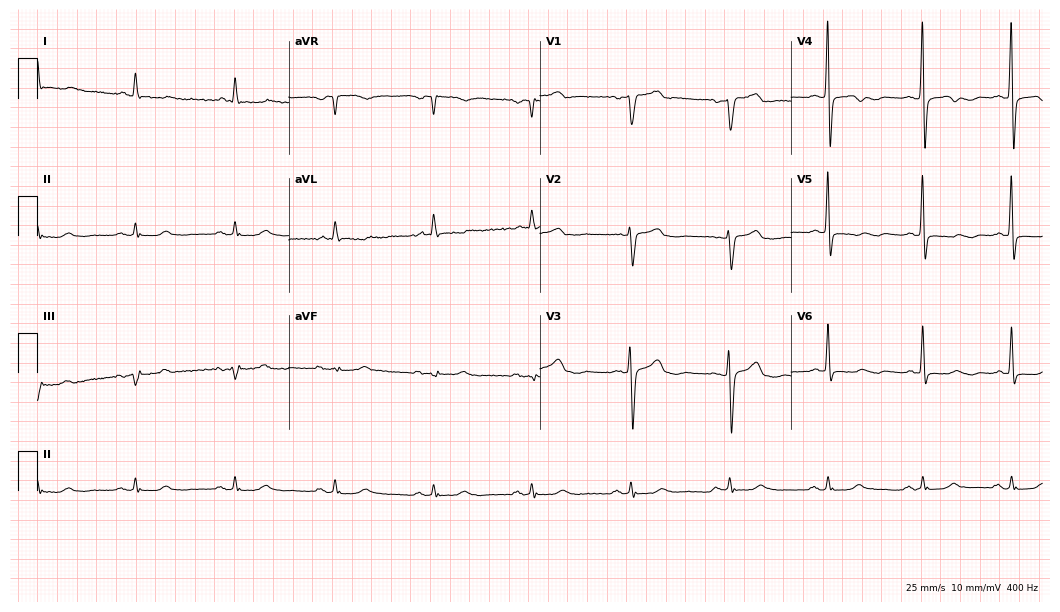
Resting 12-lead electrocardiogram. Patient: a female, 72 years old. None of these six findings is recorded: first-degree AV block, right bundle branch block (RBBB), left bundle branch block (LBBB), sinus bradycardia, atrial fibrillation (AF), sinus tachycardia. Only these six findings were labelled.